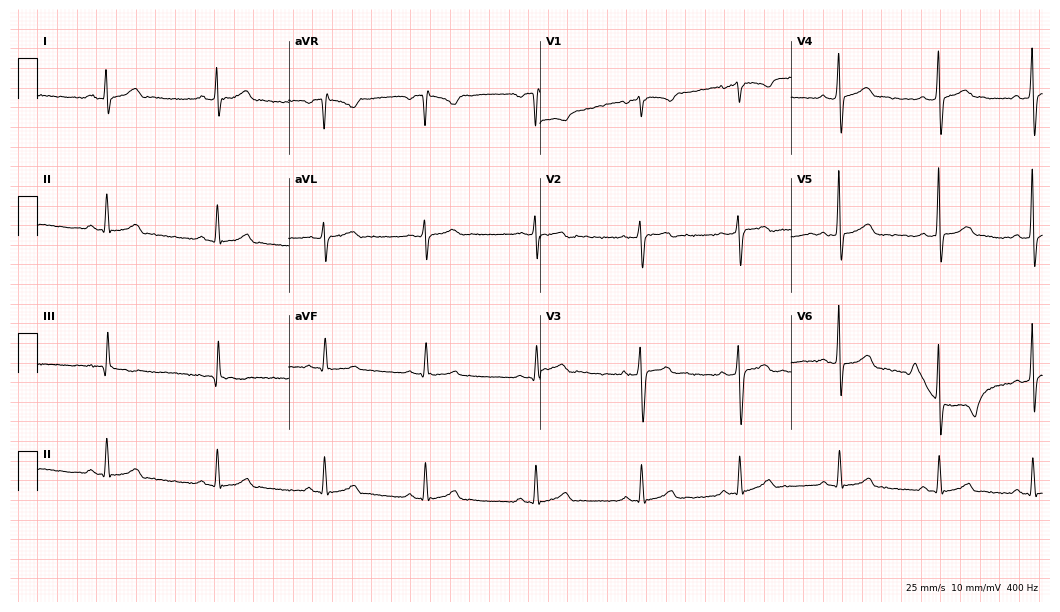
ECG — a man, 26 years old. Labelled as a normal ECG.